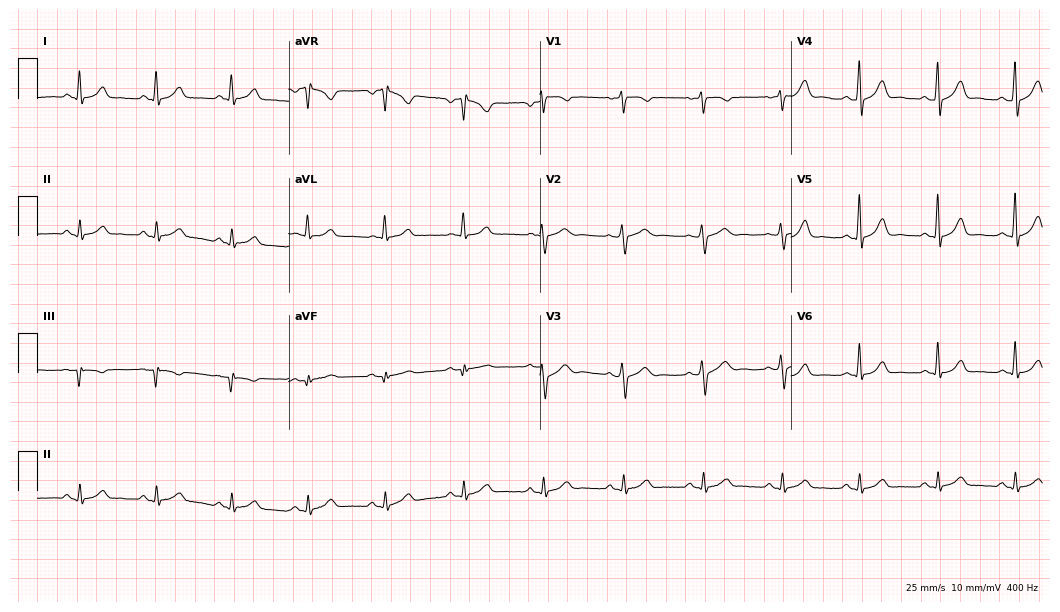
12-lead ECG from a 27-year-old female (10.2-second recording at 400 Hz). Recorded interpretation: within normal limits.